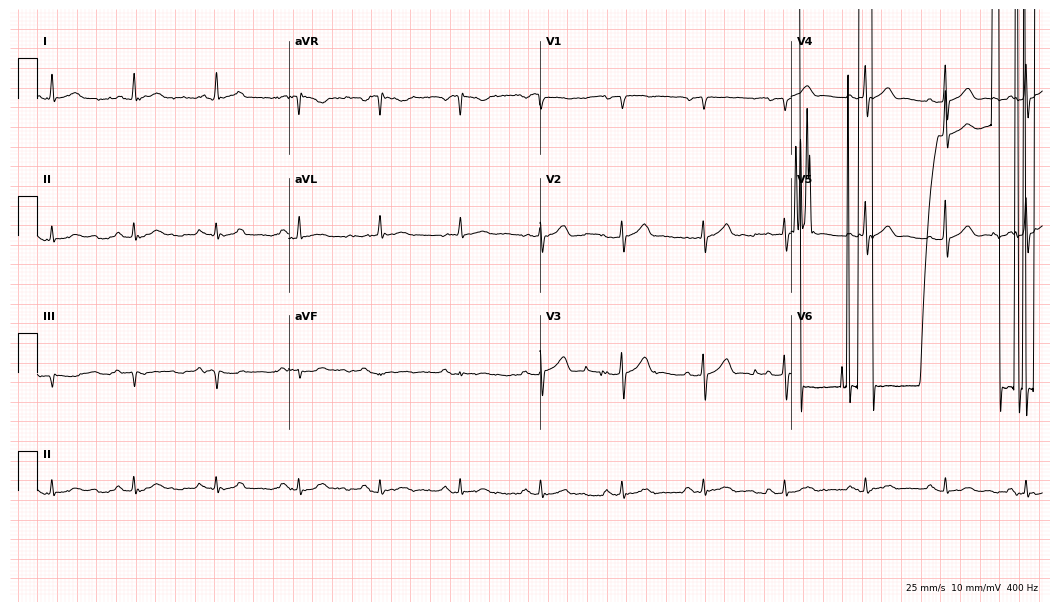
Standard 12-lead ECG recorded from a 60-year-old man. None of these six findings is recorded: first-degree AV block, right bundle branch block, left bundle branch block, sinus bradycardia, atrial fibrillation, sinus tachycardia. Other findings, if any, are not listed.